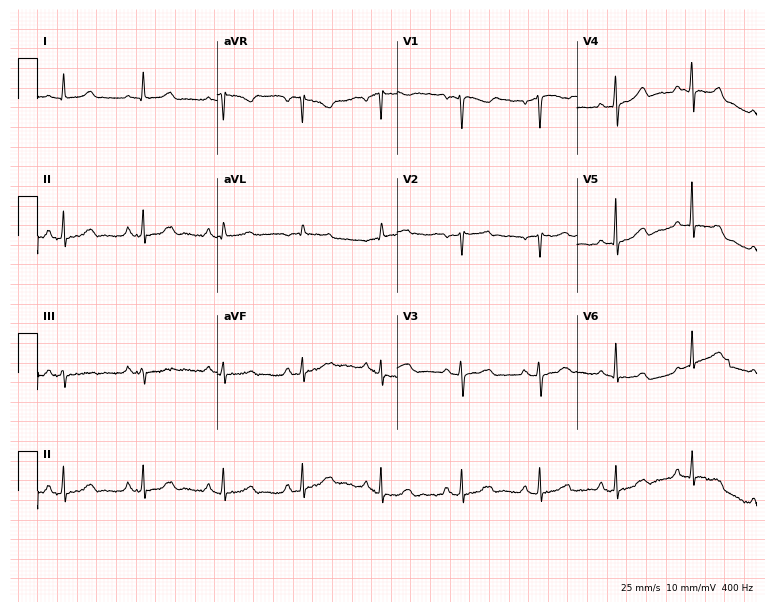
ECG (7.3-second recording at 400 Hz) — a female, 62 years old. Labelled as a normal ECG.